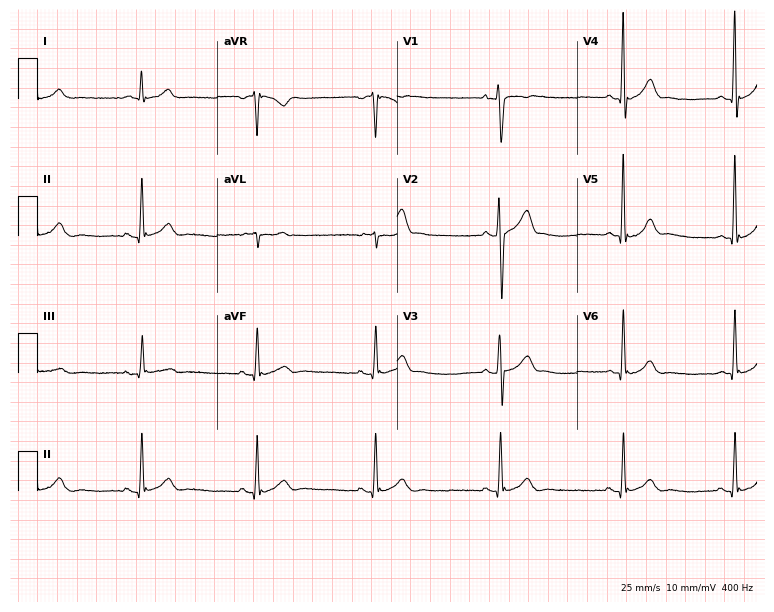
ECG (7.3-second recording at 400 Hz) — a 47-year-old man. Findings include sinus bradycardia (a sinus rate of 50 beats per minute or less).